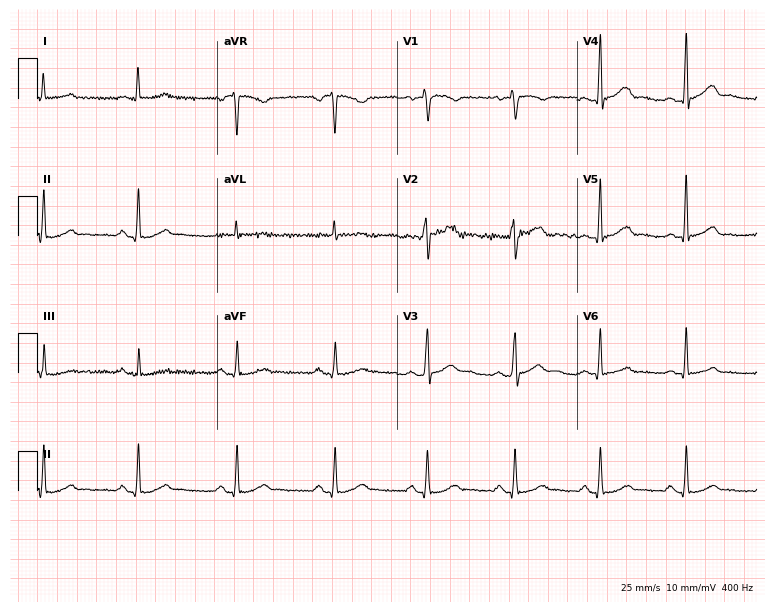
Standard 12-lead ECG recorded from a male, 29 years old. Read as a normal ECG.